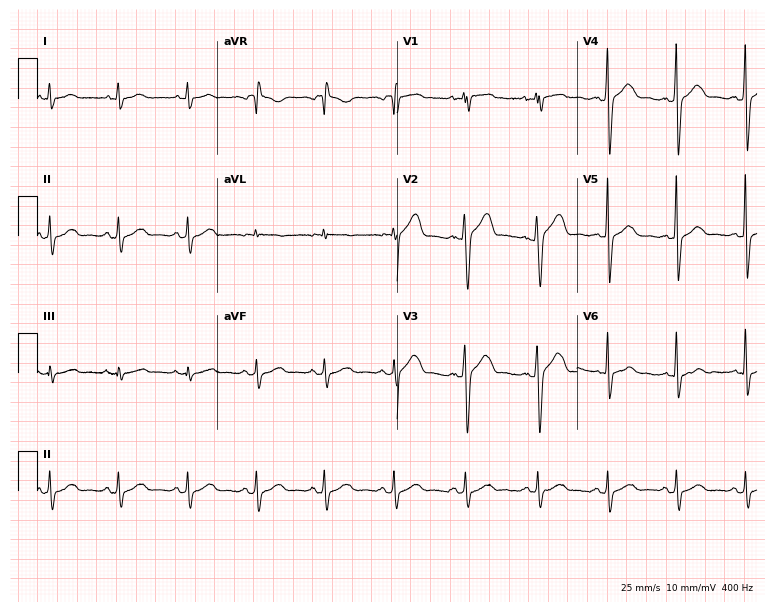
Standard 12-lead ECG recorded from a male patient, 30 years old (7.3-second recording at 400 Hz). None of these six findings is recorded: first-degree AV block, right bundle branch block, left bundle branch block, sinus bradycardia, atrial fibrillation, sinus tachycardia. Findings outside these six are not listed.